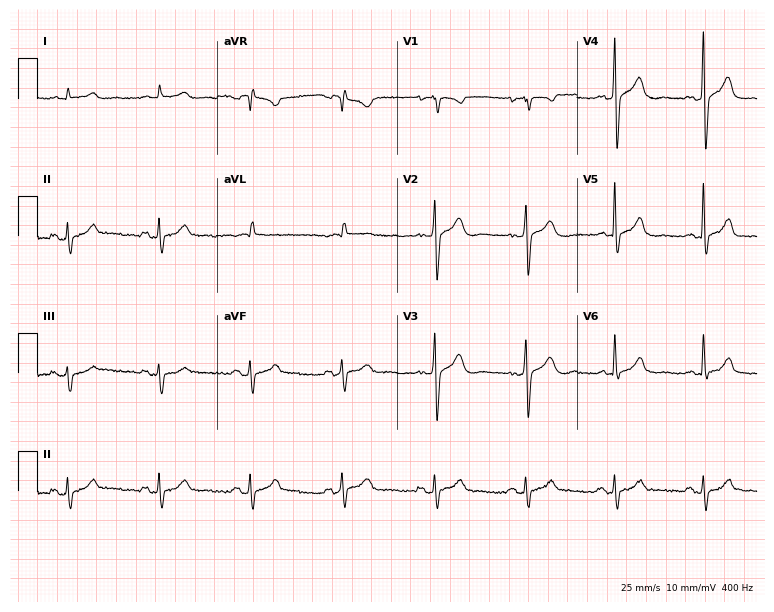
12-lead ECG from a 70-year-old male. No first-degree AV block, right bundle branch block, left bundle branch block, sinus bradycardia, atrial fibrillation or sinus tachycardia recorded for this tracing.